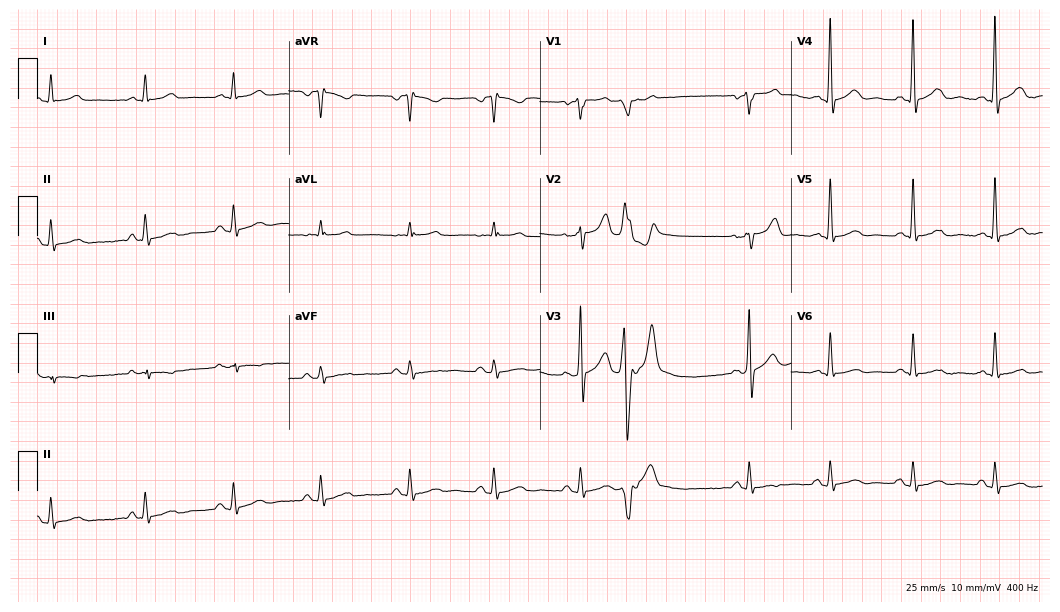
Standard 12-lead ECG recorded from a male, 58 years old. Read as a normal ECG.